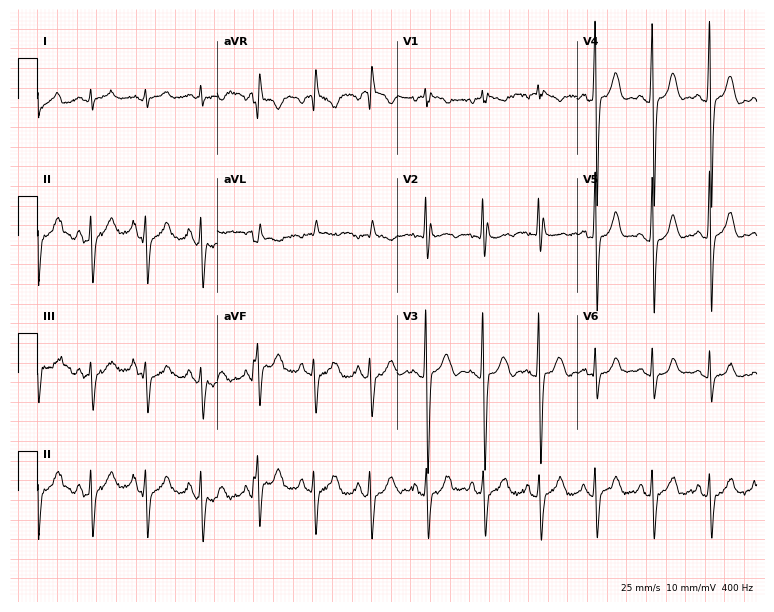
12-lead ECG from a man, 23 years old (7.3-second recording at 400 Hz). Shows sinus tachycardia (a sinus rate of 100 beats per minute or more).